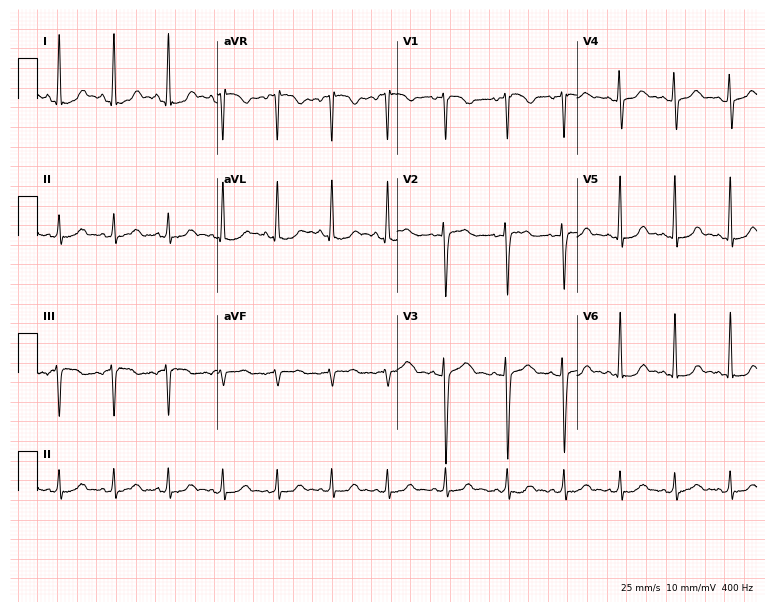
ECG (7.3-second recording at 400 Hz) — a woman, 17 years old. Screened for six findings — first-degree AV block, right bundle branch block, left bundle branch block, sinus bradycardia, atrial fibrillation, sinus tachycardia — none is recorded.